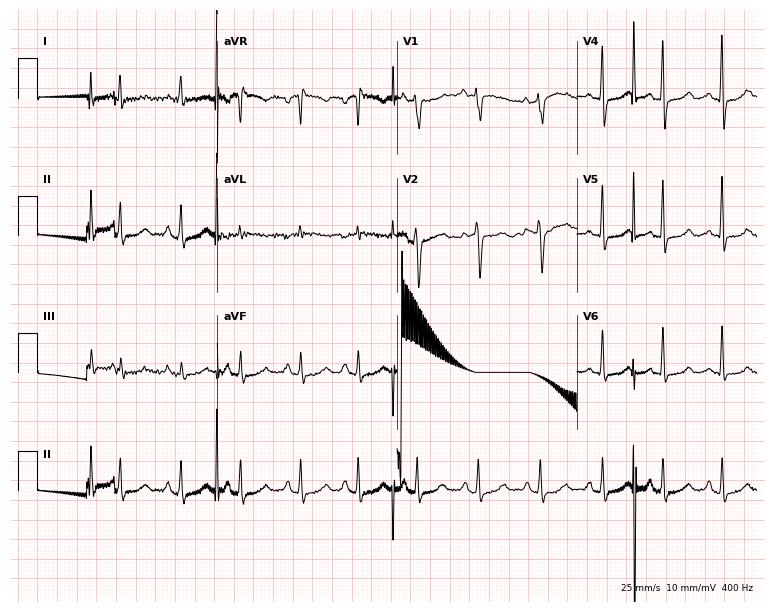
ECG — a female patient, 49 years old. Labelled as a normal ECG.